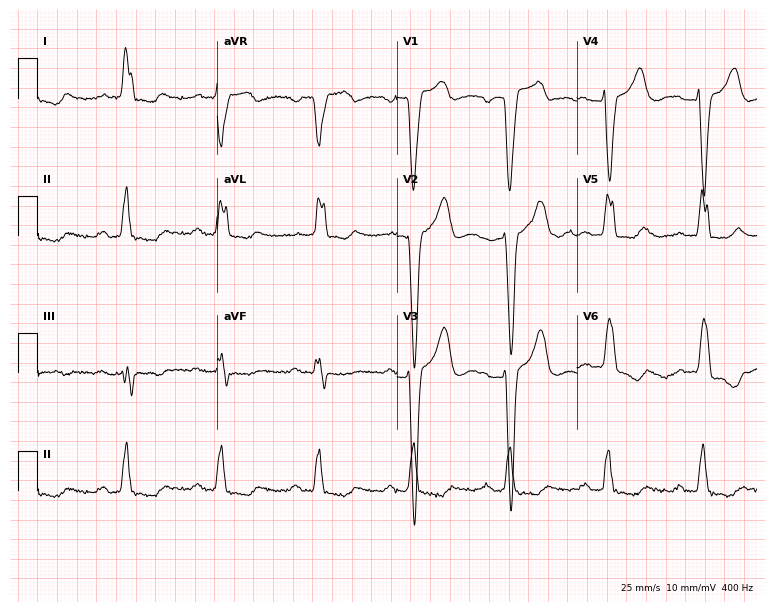
Standard 12-lead ECG recorded from a 71-year-old woman. The tracing shows first-degree AV block, left bundle branch block.